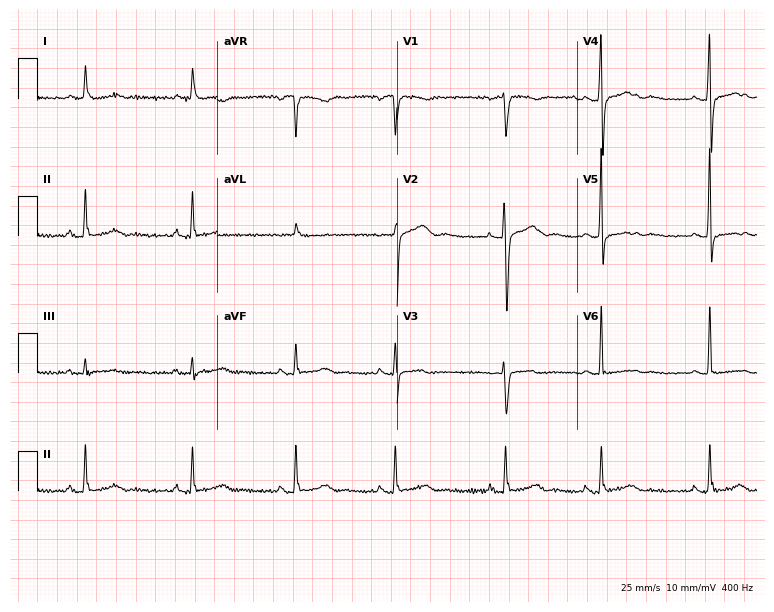
Standard 12-lead ECG recorded from a 64-year-old female. Read as a normal ECG.